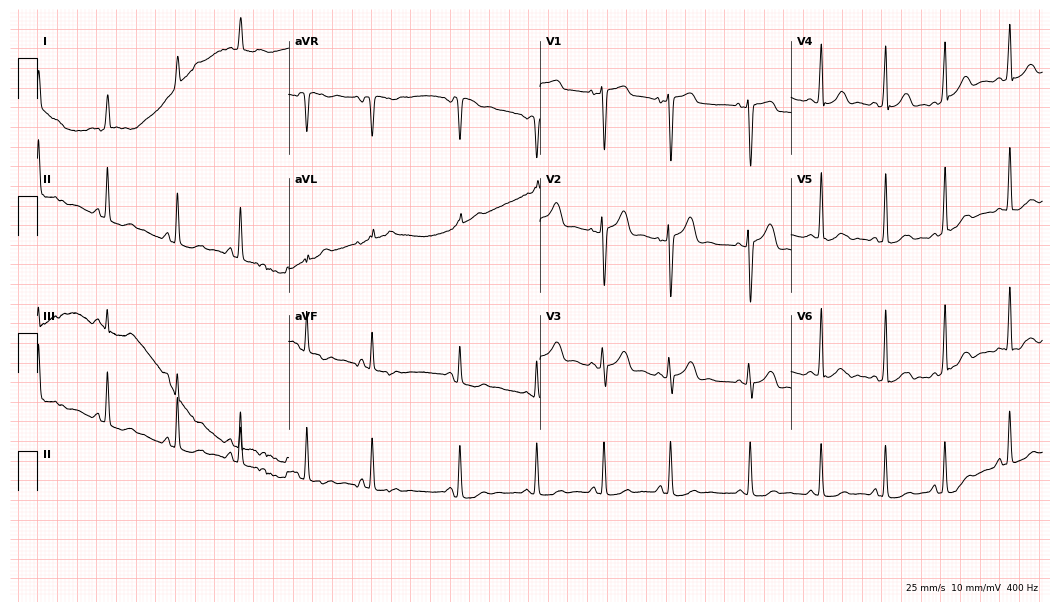
ECG — a 31-year-old woman. Screened for six findings — first-degree AV block, right bundle branch block (RBBB), left bundle branch block (LBBB), sinus bradycardia, atrial fibrillation (AF), sinus tachycardia — none is recorded. Other findings, if any, are not listed.